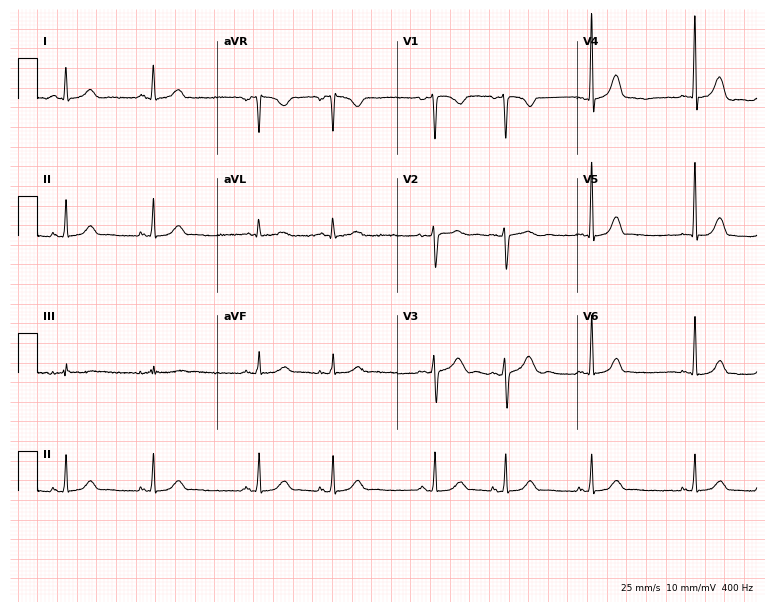
Resting 12-lead electrocardiogram. Patient: a woman, 40 years old. Read as a normal ECG.